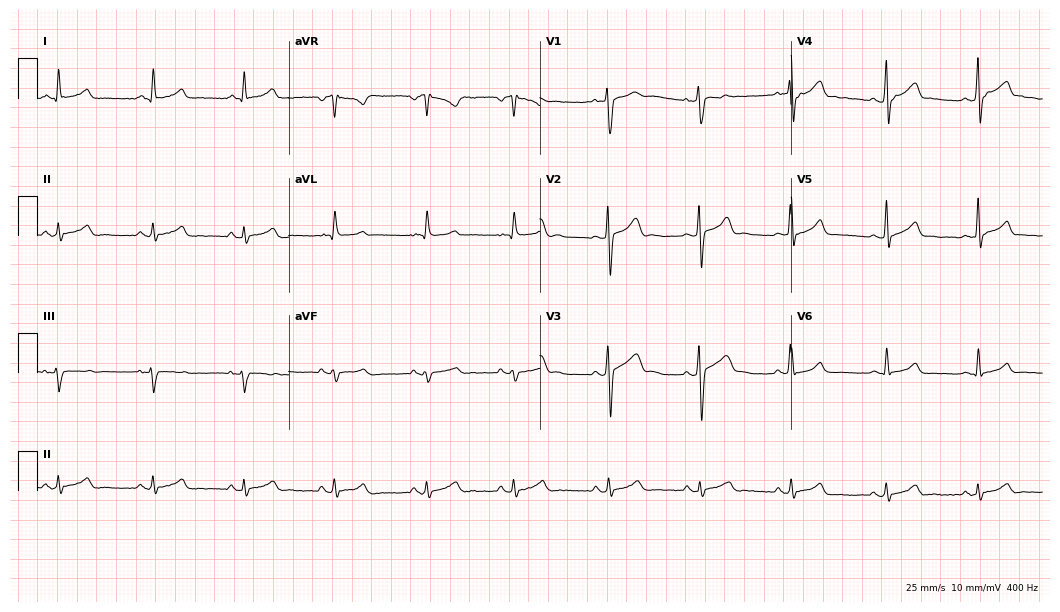
Electrocardiogram, a male, 23 years old. Overall reading on record: normal ECG.